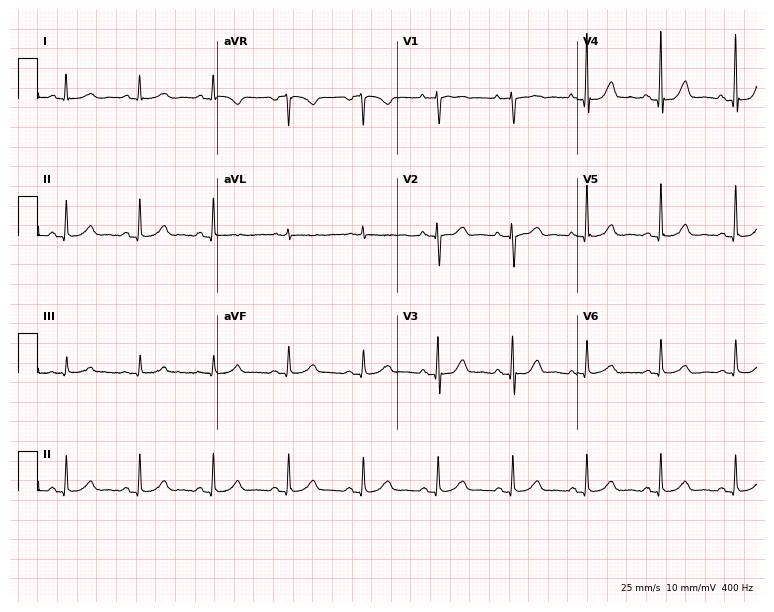
Standard 12-lead ECG recorded from a female, 80 years old. Read as a normal ECG.